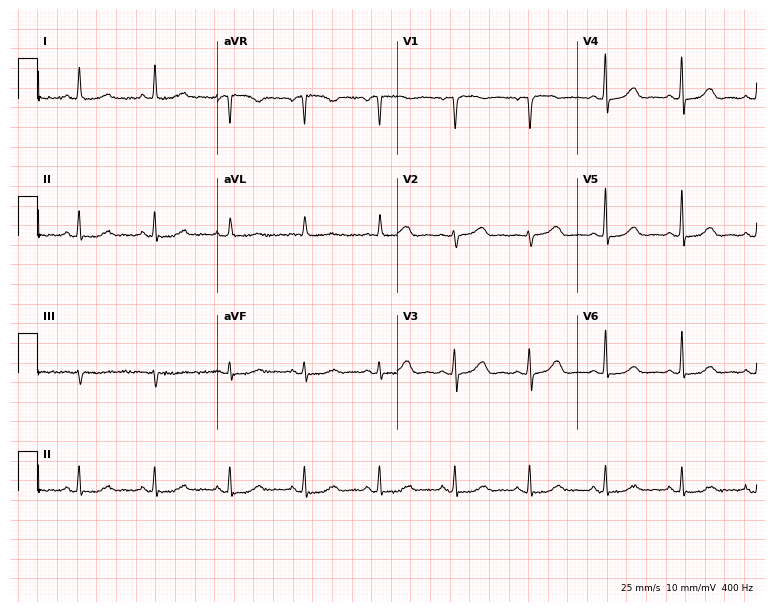
Electrocardiogram (7.3-second recording at 400 Hz), a female patient, 82 years old. Overall reading on record: normal ECG.